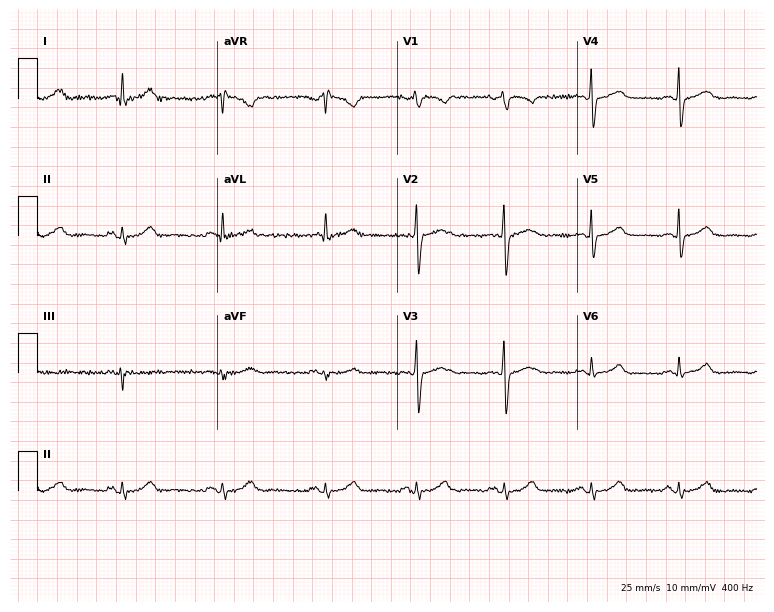
Electrocardiogram (7.3-second recording at 400 Hz), a 45-year-old female. Overall reading on record: normal ECG.